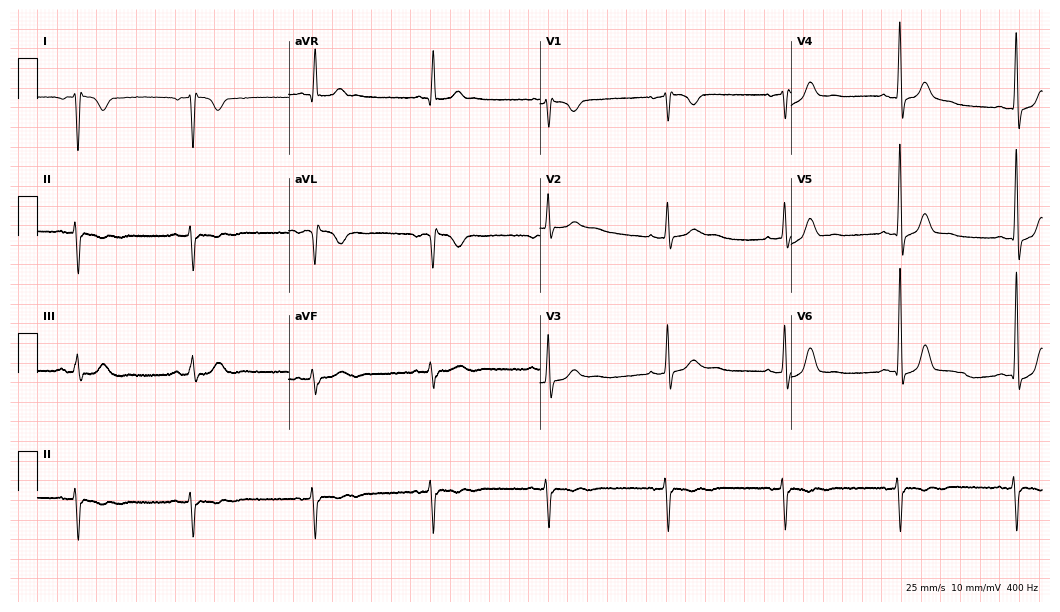
Standard 12-lead ECG recorded from a female patient, 62 years old. None of these six findings is recorded: first-degree AV block, right bundle branch block, left bundle branch block, sinus bradycardia, atrial fibrillation, sinus tachycardia. Findings outside these six are not listed.